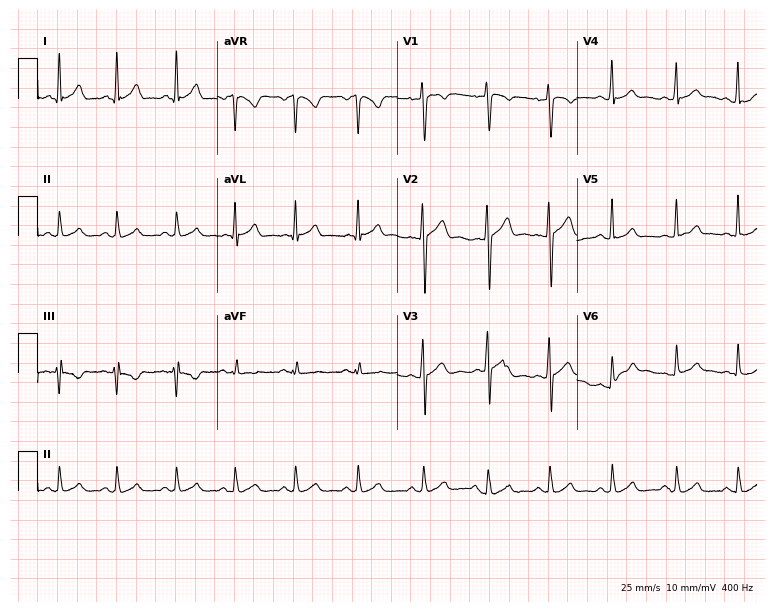
Electrocardiogram (7.3-second recording at 400 Hz), a 21-year-old male patient. Of the six screened findings (first-degree AV block, right bundle branch block, left bundle branch block, sinus bradycardia, atrial fibrillation, sinus tachycardia), none is recorded. Only these six findings were labelled.